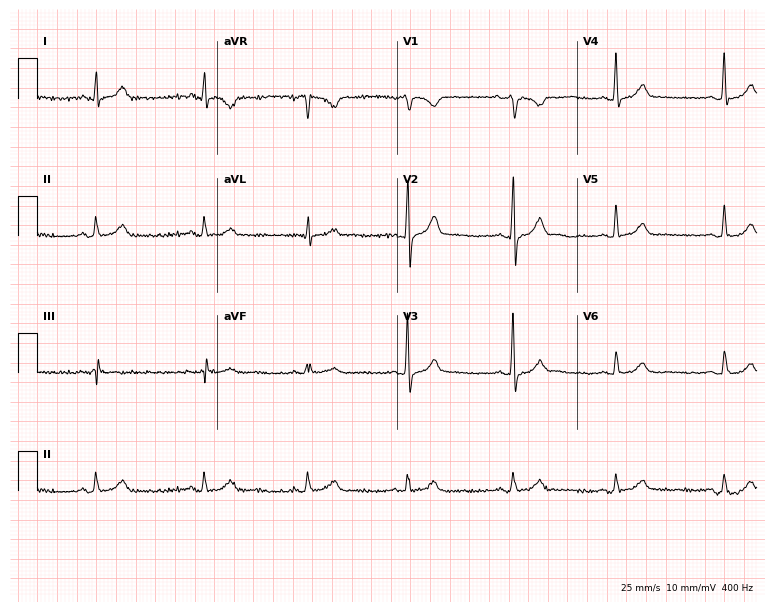
Electrocardiogram, a 26-year-old woman. Overall reading on record: normal ECG.